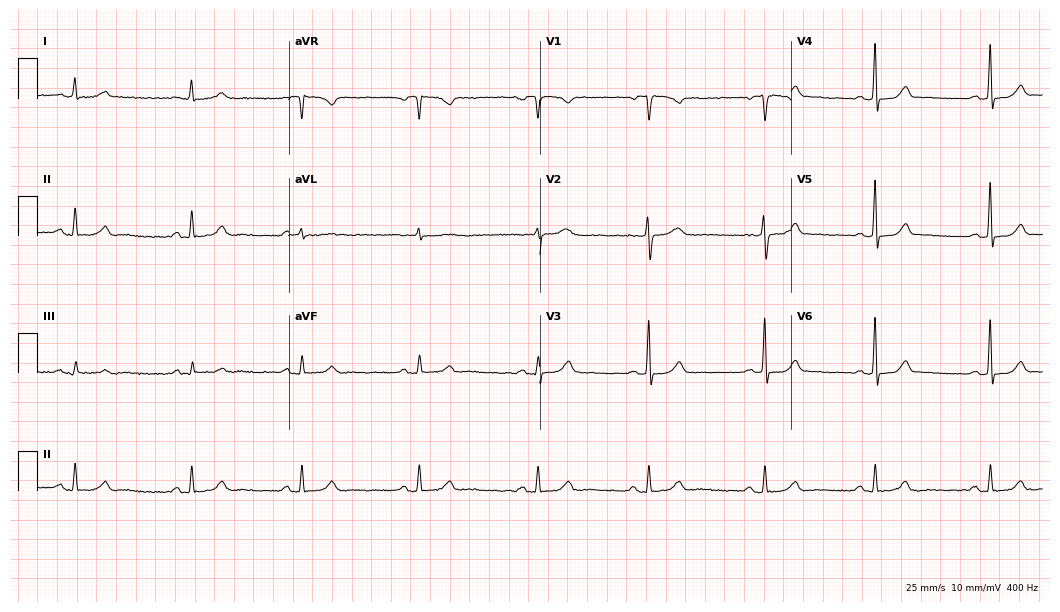
ECG — a 46-year-old female patient. Labelled as a normal ECG.